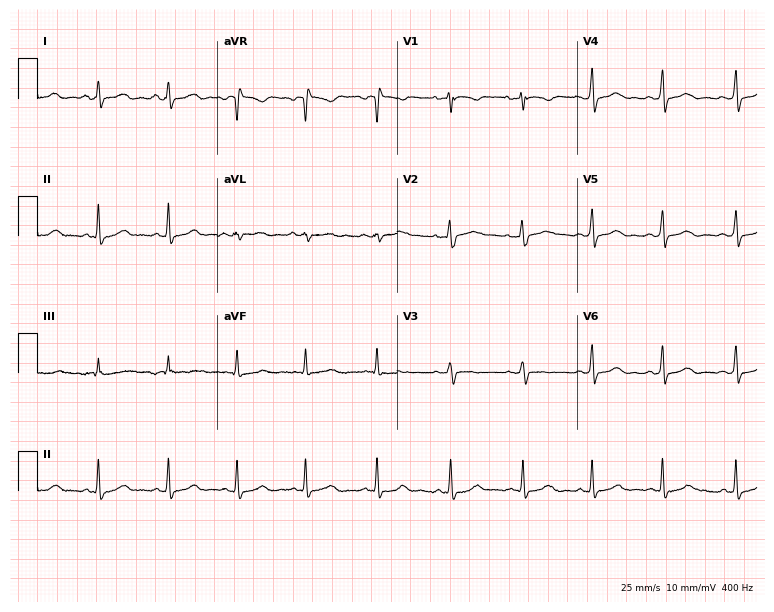
ECG — a woman, 37 years old. Screened for six findings — first-degree AV block, right bundle branch block (RBBB), left bundle branch block (LBBB), sinus bradycardia, atrial fibrillation (AF), sinus tachycardia — none is recorded.